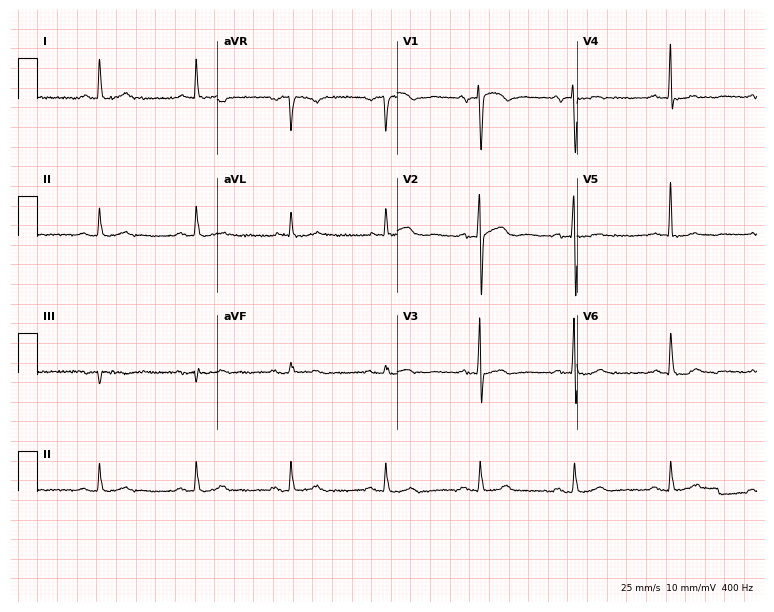
12-lead ECG from a male, 83 years old (7.3-second recording at 400 Hz). Recorded interpretation: within normal limits.